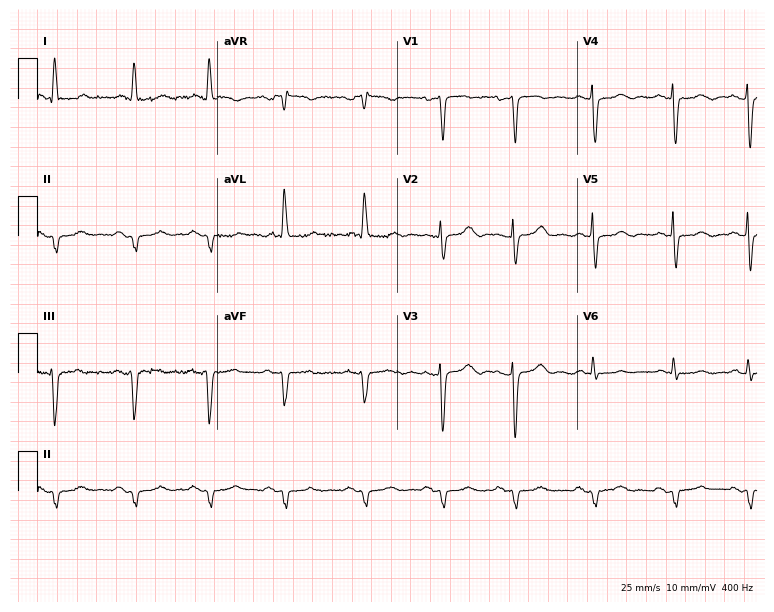
Standard 12-lead ECG recorded from a woman, 77 years old (7.3-second recording at 400 Hz). None of these six findings is recorded: first-degree AV block, right bundle branch block, left bundle branch block, sinus bradycardia, atrial fibrillation, sinus tachycardia. Only these six findings were labelled.